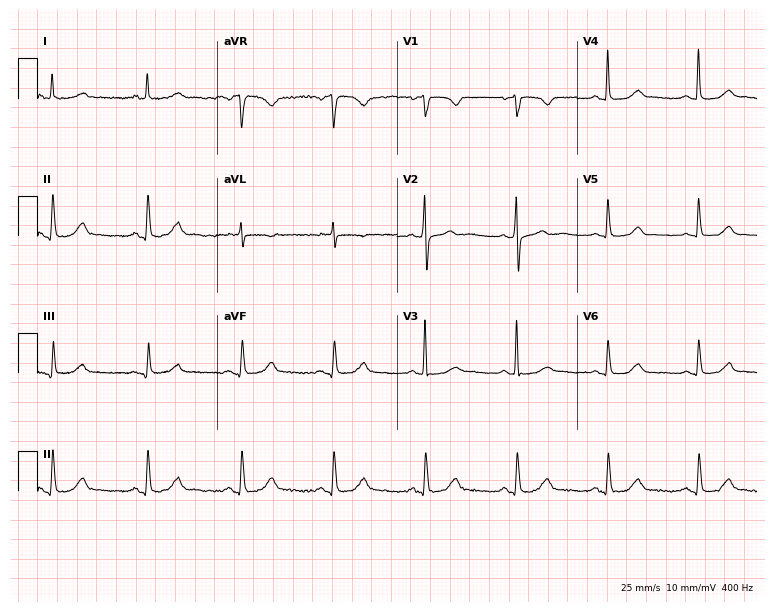
Resting 12-lead electrocardiogram. Patient: a woman, 68 years old. Read as a normal ECG.